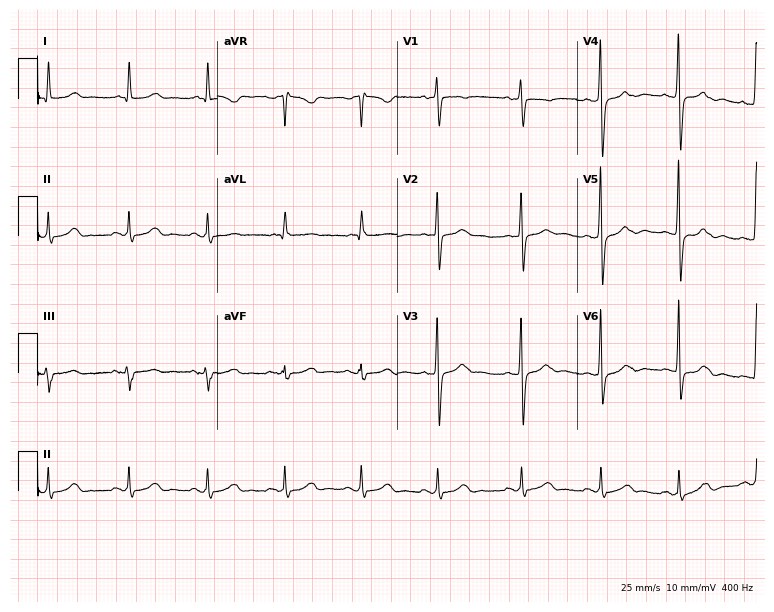
Standard 12-lead ECG recorded from a female patient, 78 years old (7.3-second recording at 400 Hz). Read as a normal ECG.